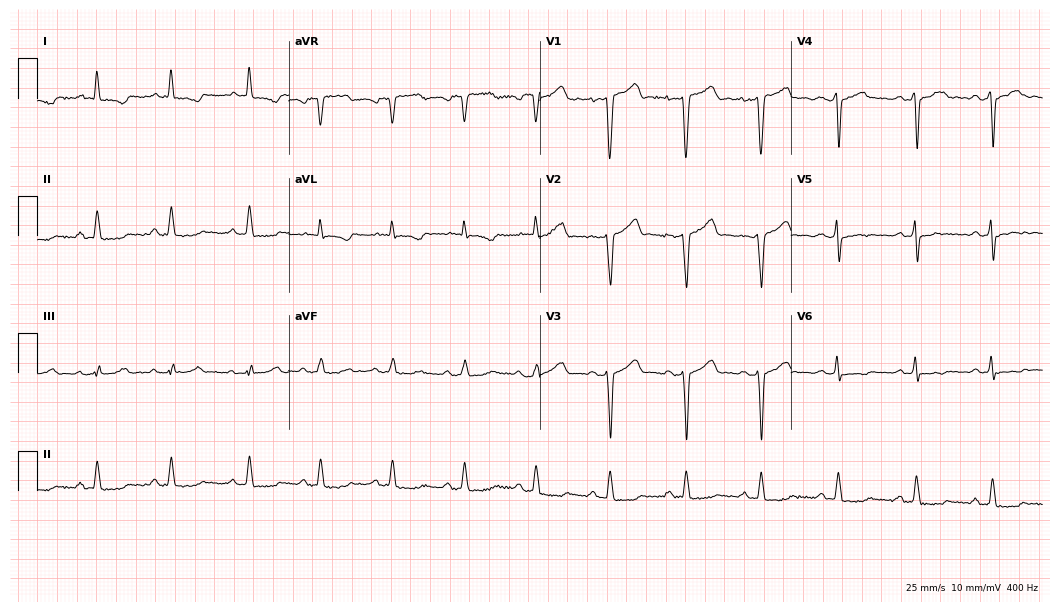
12-lead ECG from a 78-year-old male. No first-degree AV block, right bundle branch block, left bundle branch block, sinus bradycardia, atrial fibrillation or sinus tachycardia recorded for this tracing. Other findings, if any, are not listed.